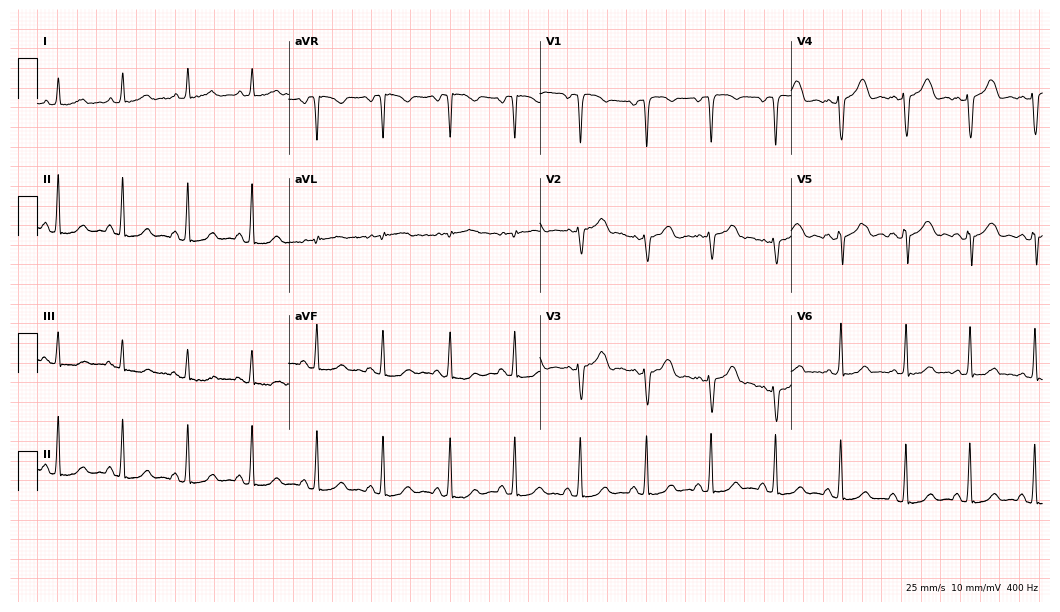
ECG — a female, 28 years old. Screened for six findings — first-degree AV block, right bundle branch block, left bundle branch block, sinus bradycardia, atrial fibrillation, sinus tachycardia — none is recorded. Other findings, if any, are not listed.